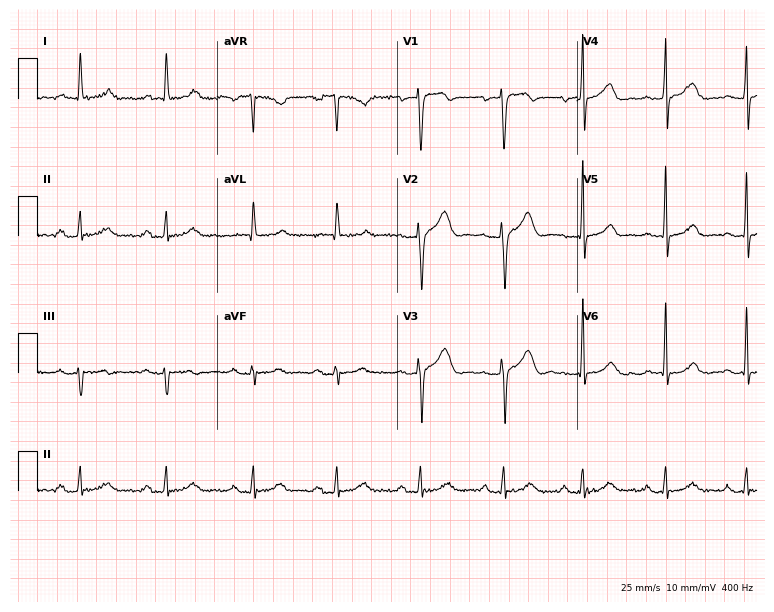
12-lead ECG from a female, 59 years old (7.3-second recording at 400 Hz). Recorded interpretation: within normal limits.